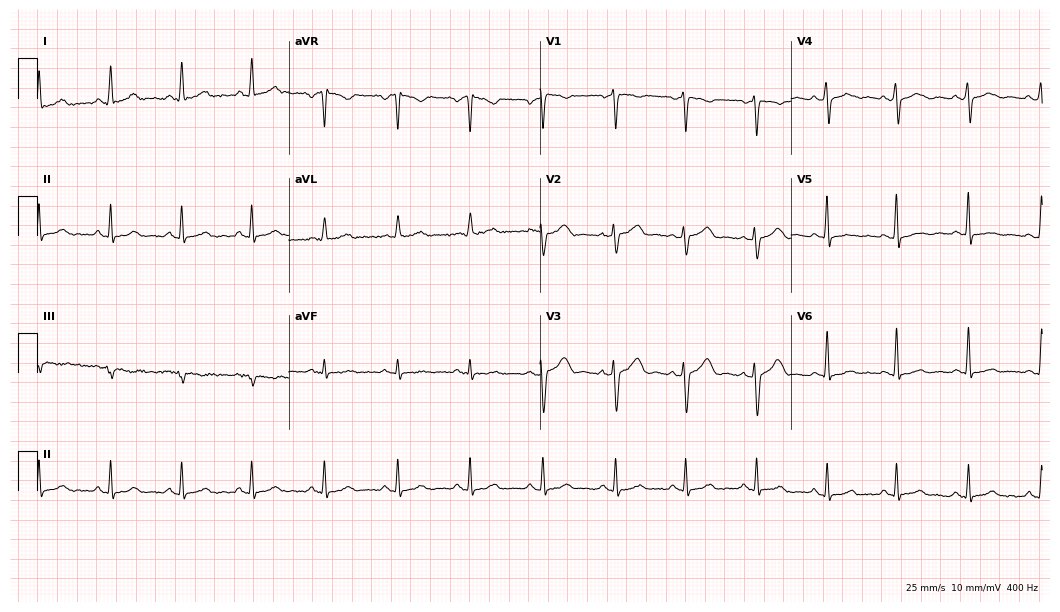
Standard 12-lead ECG recorded from a woman, 35 years old (10.2-second recording at 400 Hz). Read as a normal ECG.